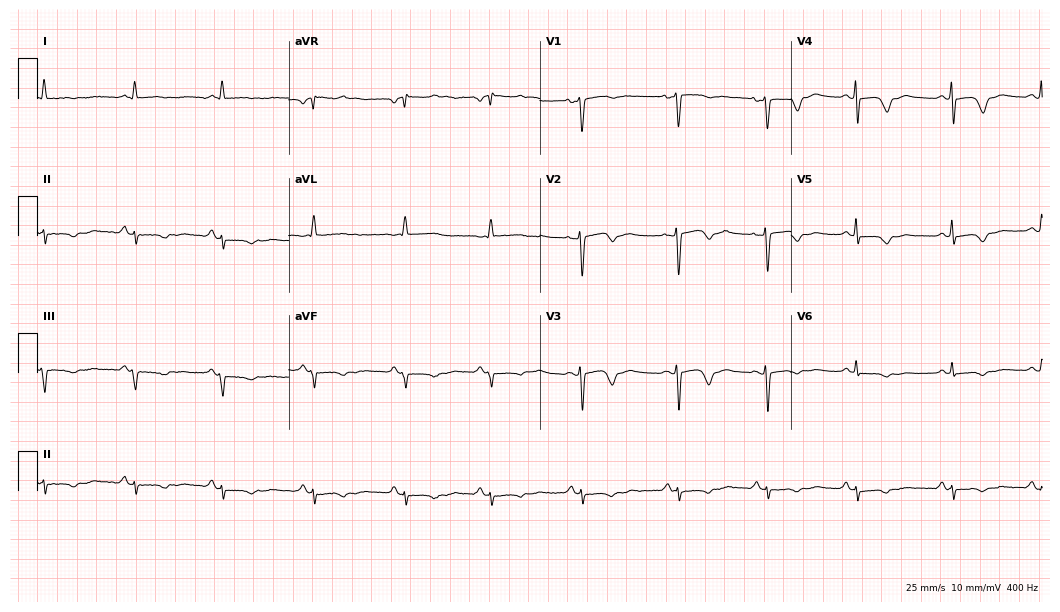
Electrocardiogram, a female patient, 51 years old. Of the six screened findings (first-degree AV block, right bundle branch block (RBBB), left bundle branch block (LBBB), sinus bradycardia, atrial fibrillation (AF), sinus tachycardia), none is recorded. Other findings, if any, are not listed.